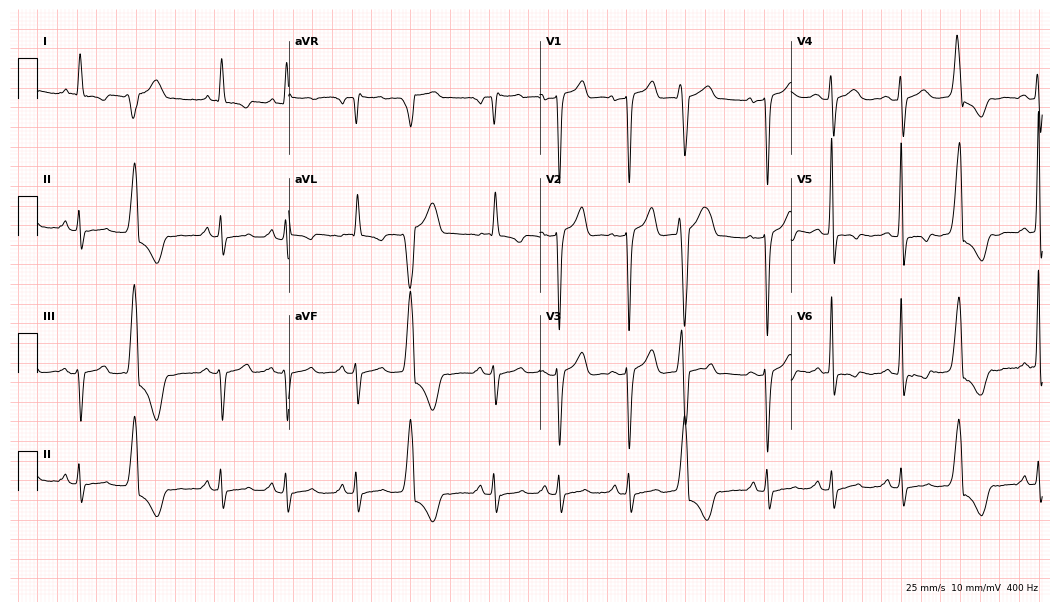
12-lead ECG from a 67-year-old male patient. No first-degree AV block, right bundle branch block, left bundle branch block, sinus bradycardia, atrial fibrillation or sinus tachycardia recorded for this tracing. Findings outside these six are not listed.